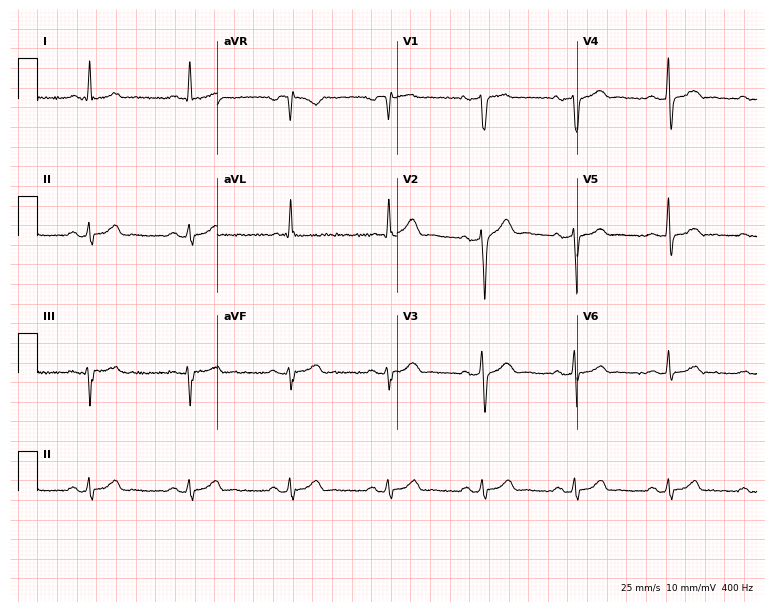
ECG — a male, 62 years old. Labelled as a normal ECG.